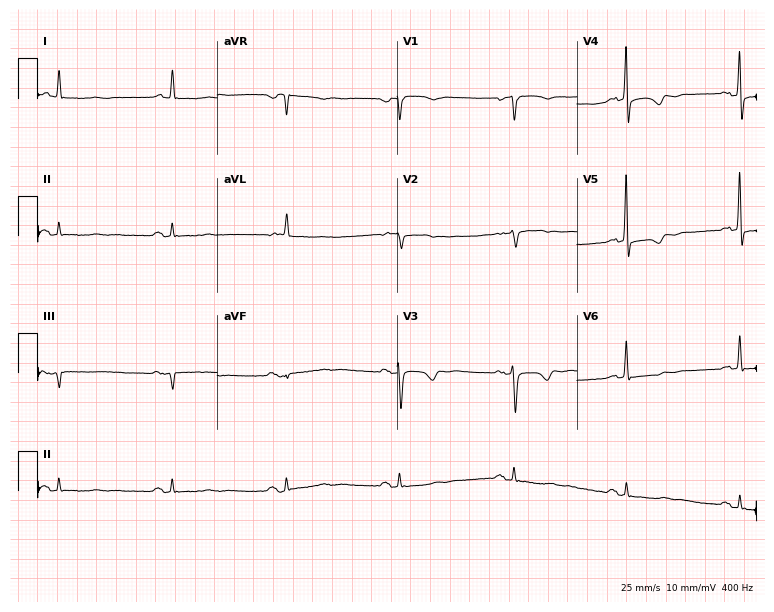
Standard 12-lead ECG recorded from a woman, 83 years old. None of these six findings is recorded: first-degree AV block, right bundle branch block, left bundle branch block, sinus bradycardia, atrial fibrillation, sinus tachycardia. Only these six findings were labelled.